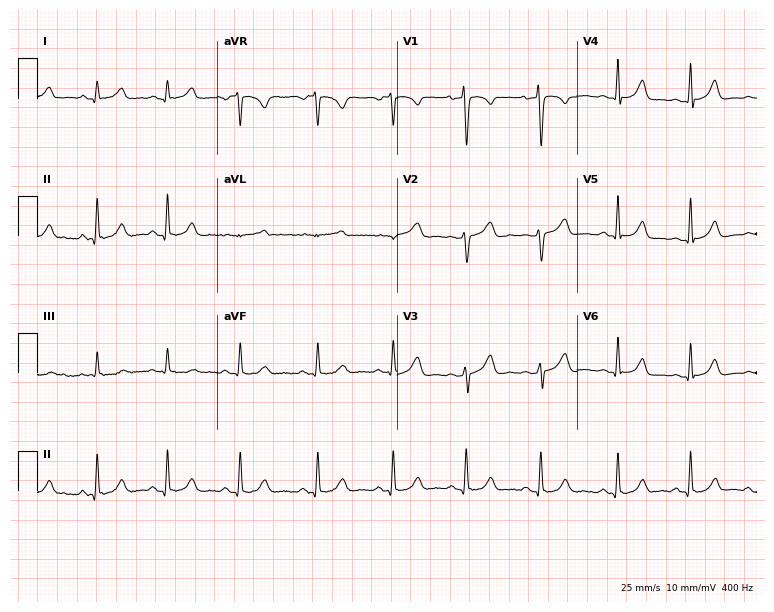
Electrocardiogram, a 23-year-old woman. Of the six screened findings (first-degree AV block, right bundle branch block (RBBB), left bundle branch block (LBBB), sinus bradycardia, atrial fibrillation (AF), sinus tachycardia), none is recorded. Other findings, if any, are not listed.